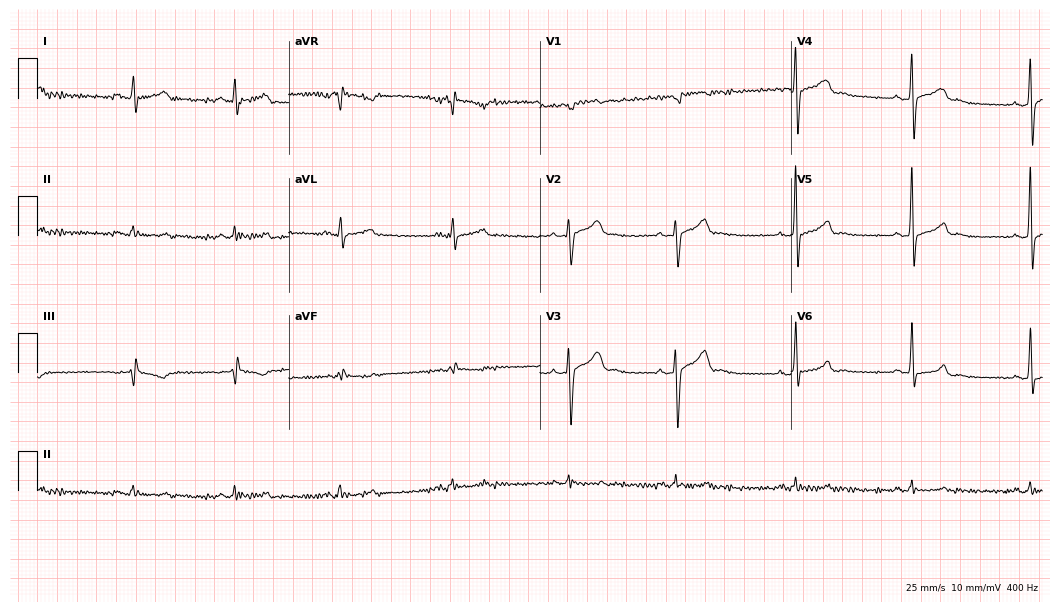
Electrocardiogram (10.2-second recording at 400 Hz), a 35-year-old male patient. Of the six screened findings (first-degree AV block, right bundle branch block (RBBB), left bundle branch block (LBBB), sinus bradycardia, atrial fibrillation (AF), sinus tachycardia), none is recorded.